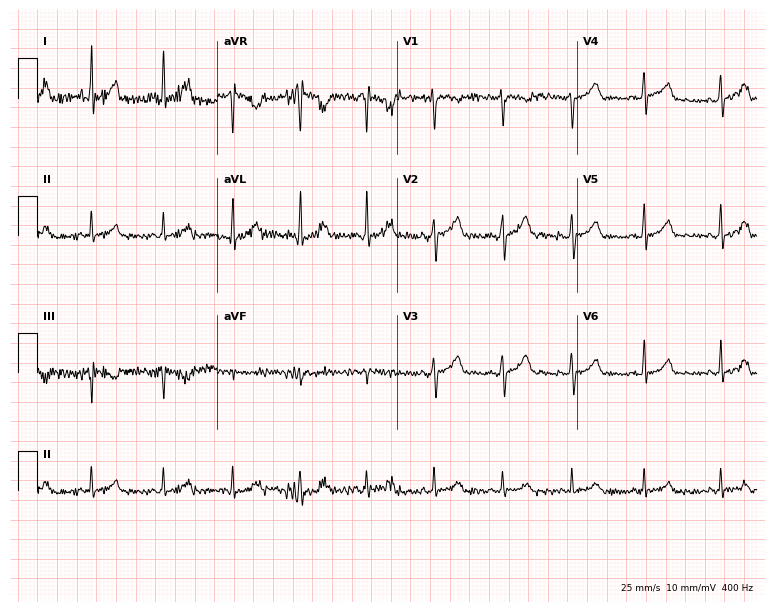
12-lead ECG from a 22-year-old woman. No first-degree AV block, right bundle branch block (RBBB), left bundle branch block (LBBB), sinus bradycardia, atrial fibrillation (AF) or sinus tachycardia recorded for this tracing. Other findings, if any, are not listed.